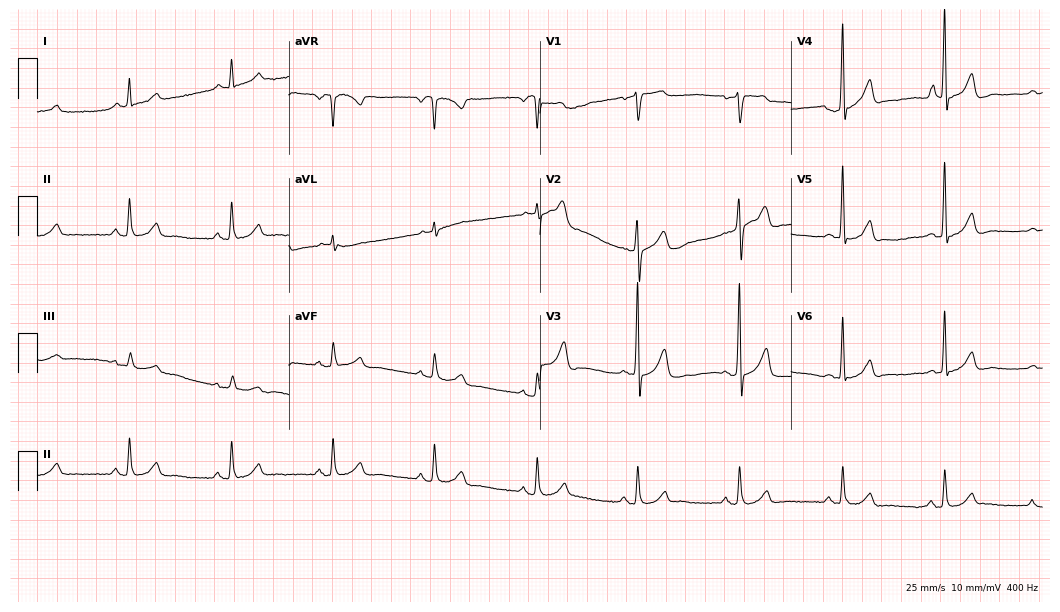
12-lead ECG from a male patient, 65 years old. Labelled as a normal ECG.